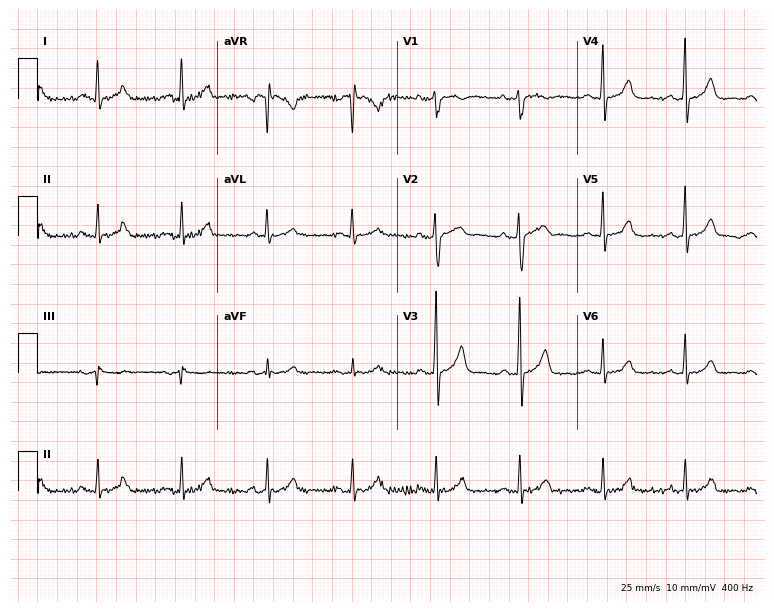
Standard 12-lead ECG recorded from a 59-year-old male. Read as a normal ECG.